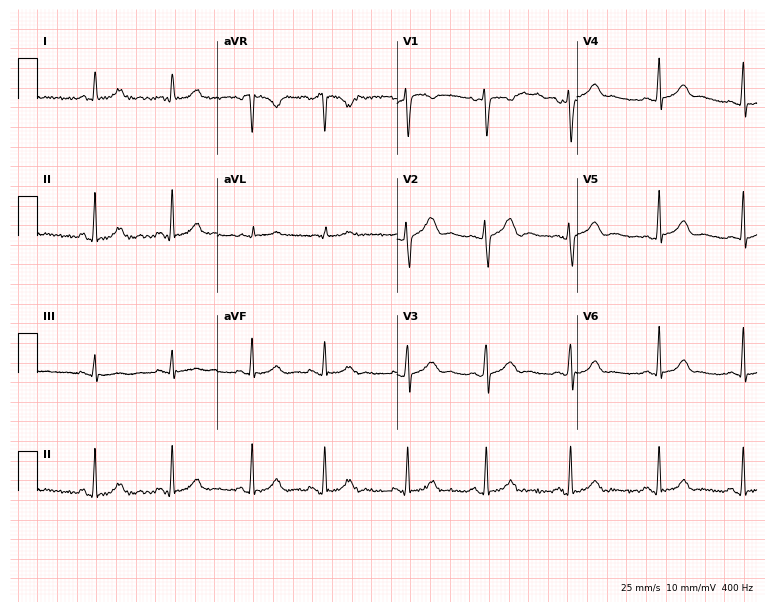
12-lead ECG from a female, 20 years old (7.3-second recording at 400 Hz). No first-degree AV block, right bundle branch block (RBBB), left bundle branch block (LBBB), sinus bradycardia, atrial fibrillation (AF) or sinus tachycardia recorded for this tracing. Other findings, if any, are not listed.